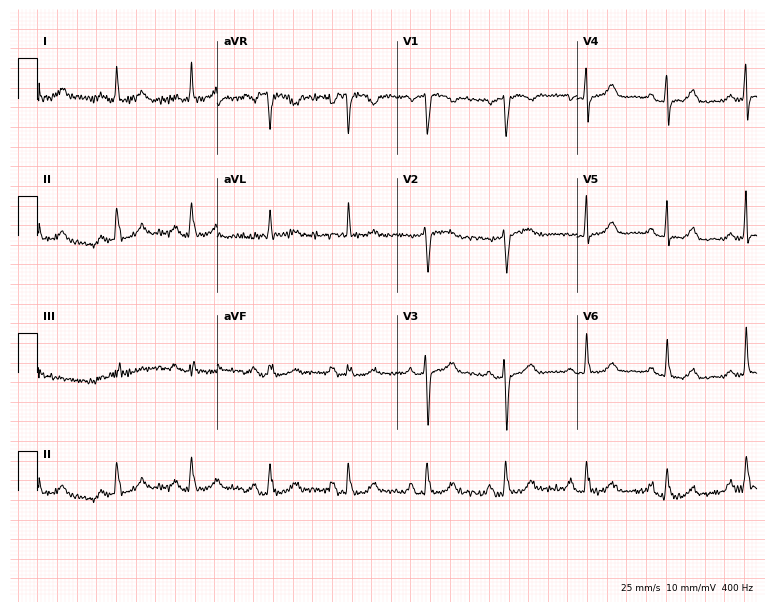
12-lead ECG from a woman, 74 years old. Screened for six findings — first-degree AV block, right bundle branch block, left bundle branch block, sinus bradycardia, atrial fibrillation, sinus tachycardia — none is recorded.